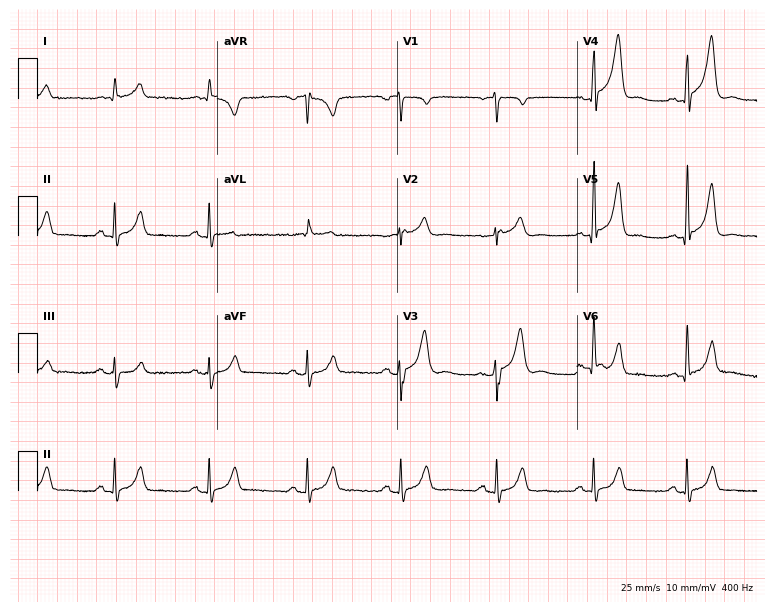
Electrocardiogram, a 59-year-old man. Of the six screened findings (first-degree AV block, right bundle branch block, left bundle branch block, sinus bradycardia, atrial fibrillation, sinus tachycardia), none is recorded. Only these six findings were labelled.